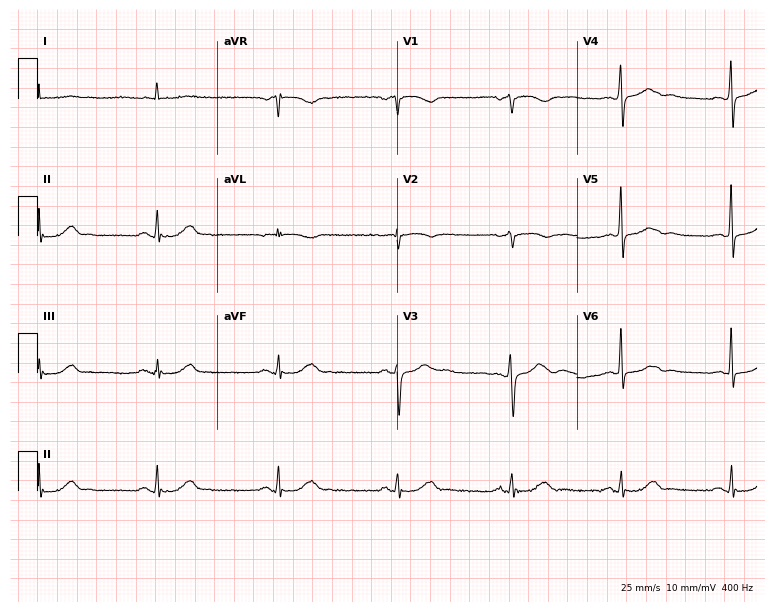
Resting 12-lead electrocardiogram (7.3-second recording at 400 Hz). Patient: a 74-year-old man. None of these six findings is recorded: first-degree AV block, right bundle branch block, left bundle branch block, sinus bradycardia, atrial fibrillation, sinus tachycardia. Other findings, if any, are not listed.